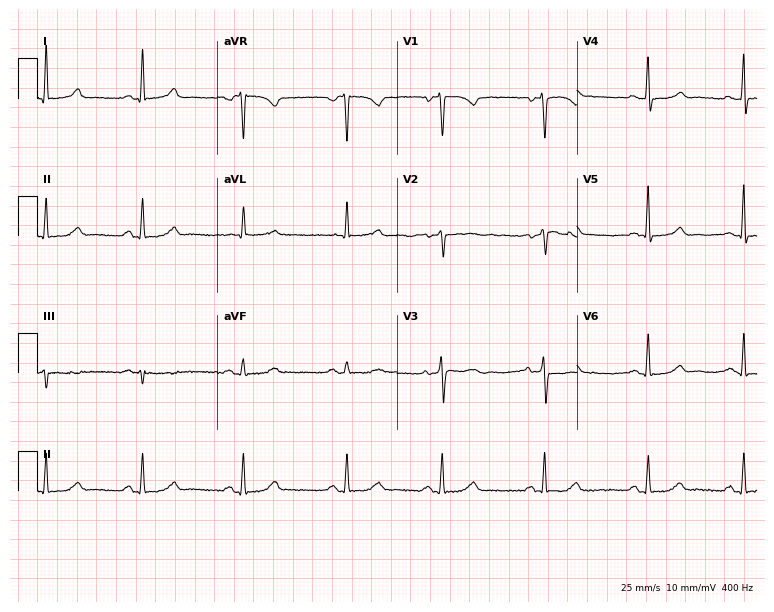
ECG — a female, 47 years old. Screened for six findings — first-degree AV block, right bundle branch block, left bundle branch block, sinus bradycardia, atrial fibrillation, sinus tachycardia — none is recorded. Only these six findings were labelled.